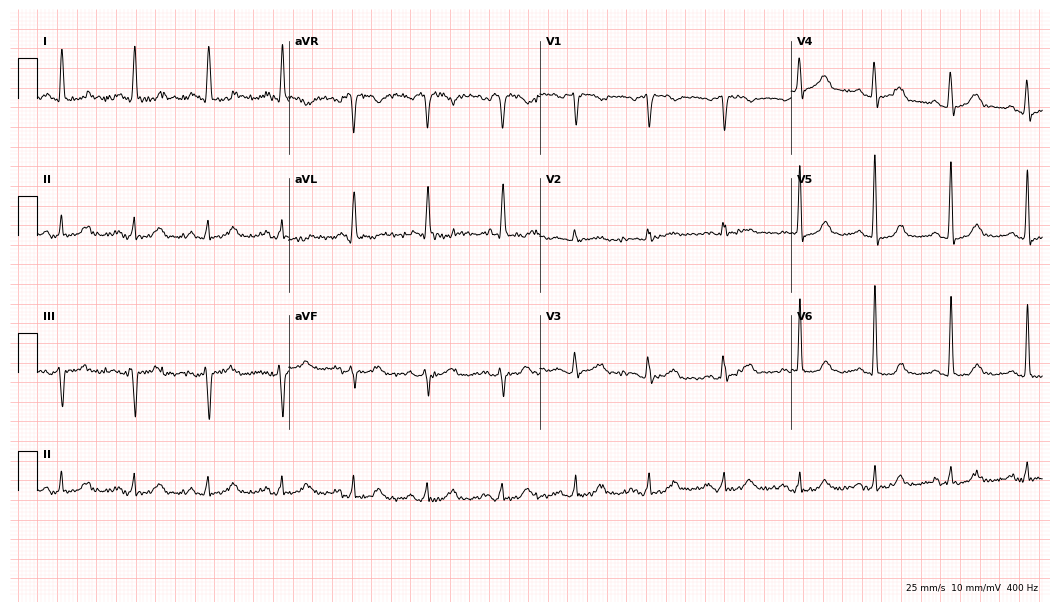
12-lead ECG (10.2-second recording at 400 Hz) from a 70-year-old woman. Labelled as a normal ECG.